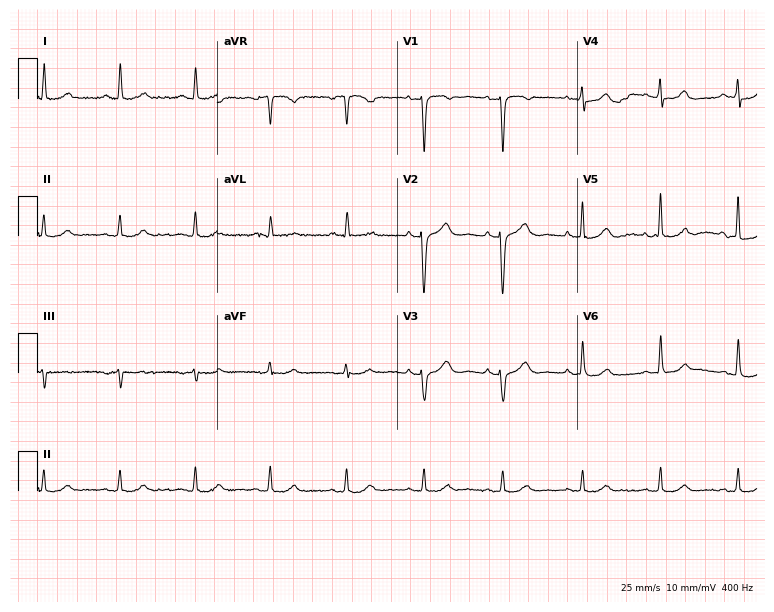
12-lead ECG from a 69-year-old female patient (7.3-second recording at 400 Hz). No first-degree AV block, right bundle branch block (RBBB), left bundle branch block (LBBB), sinus bradycardia, atrial fibrillation (AF) or sinus tachycardia recorded for this tracing. Only these six findings were labelled.